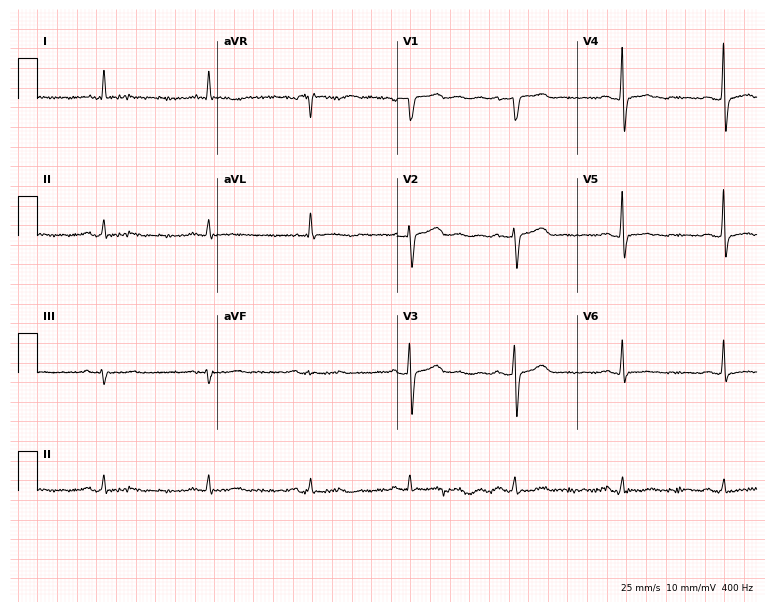
Resting 12-lead electrocardiogram. Patient: a woman, 67 years old. Read as a normal ECG.